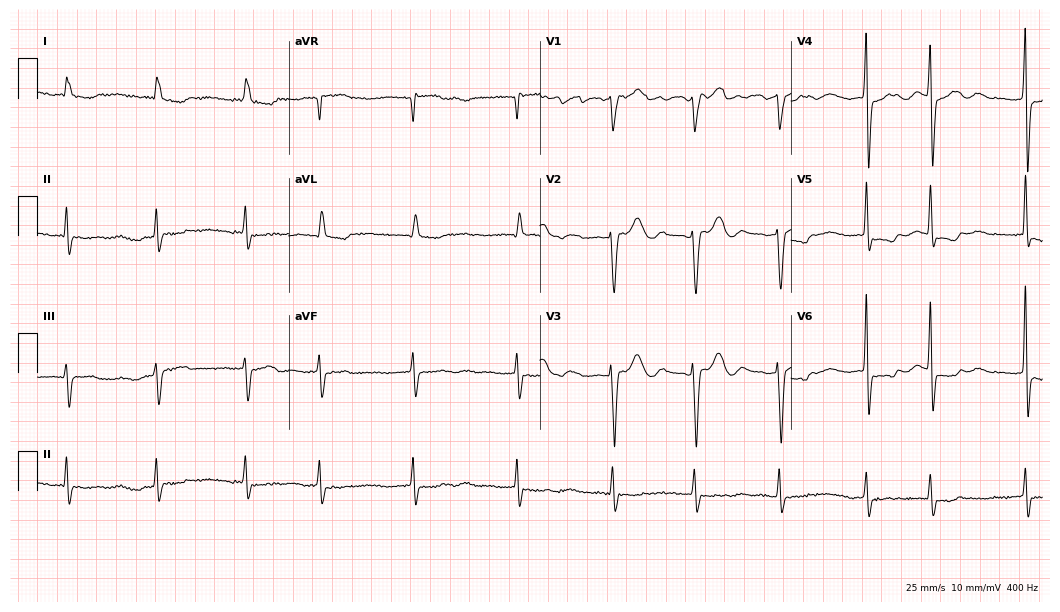
Standard 12-lead ECG recorded from a female patient, 74 years old (10.2-second recording at 400 Hz). The tracing shows atrial fibrillation (AF).